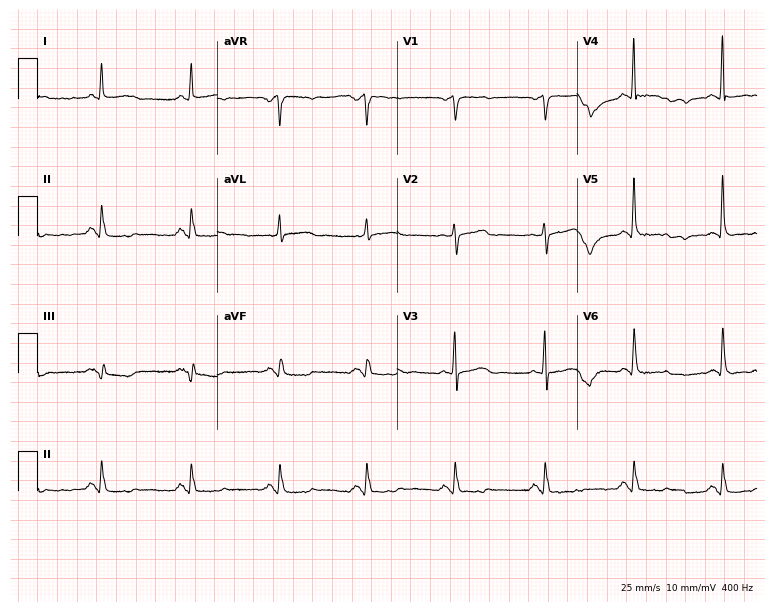
Electrocardiogram, a male, 73 years old. Of the six screened findings (first-degree AV block, right bundle branch block, left bundle branch block, sinus bradycardia, atrial fibrillation, sinus tachycardia), none is recorded. Other findings, if any, are not listed.